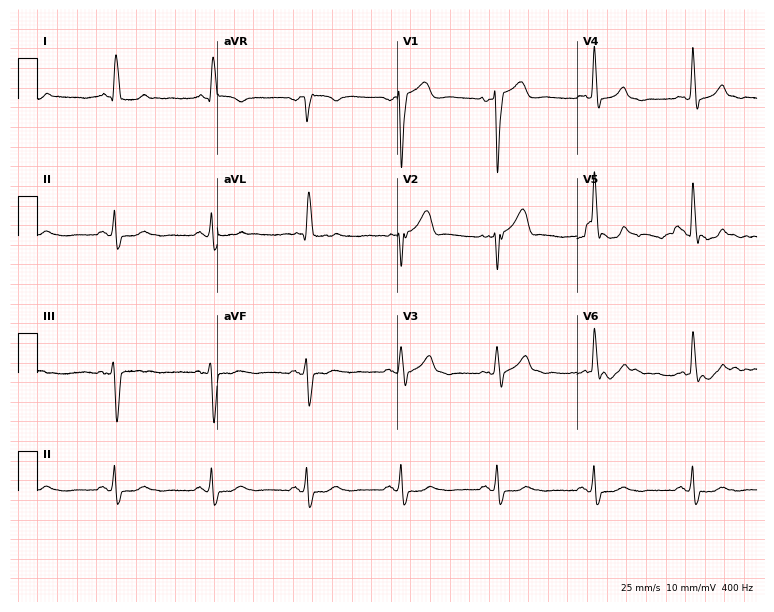
12-lead ECG from a male, 72 years old. Screened for six findings — first-degree AV block, right bundle branch block, left bundle branch block, sinus bradycardia, atrial fibrillation, sinus tachycardia — none is recorded.